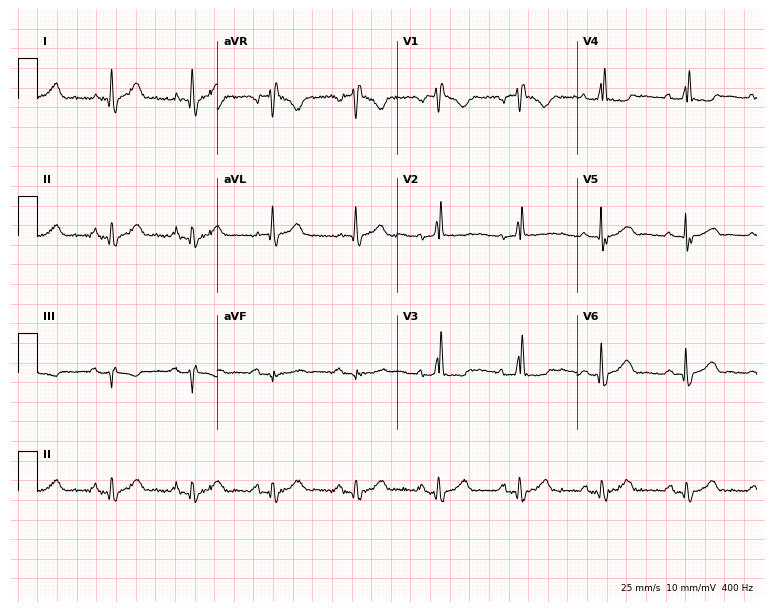
Electrocardiogram (7.3-second recording at 400 Hz), a 67-year-old male. Of the six screened findings (first-degree AV block, right bundle branch block, left bundle branch block, sinus bradycardia, atrial fibrillation, sinus tachycardia), none is recorded.